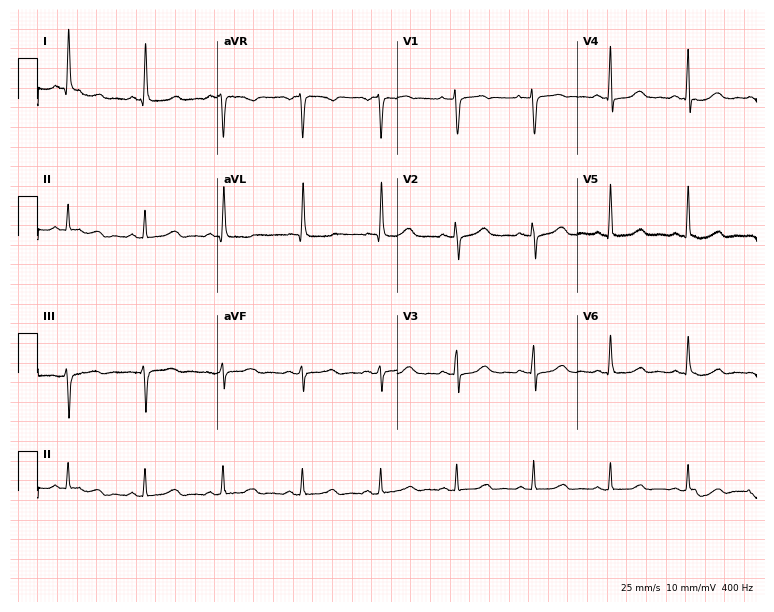
12-lead ECG from a 65-year-old female patient (7.3-second recording at 400 Hz). No first-degree AV block, right bundle branch block, left bundle branch block, sinus bradycardia, atrial fibrillation or sinus tachycardia recorded for this tracing. Findings outside these six are not listed.